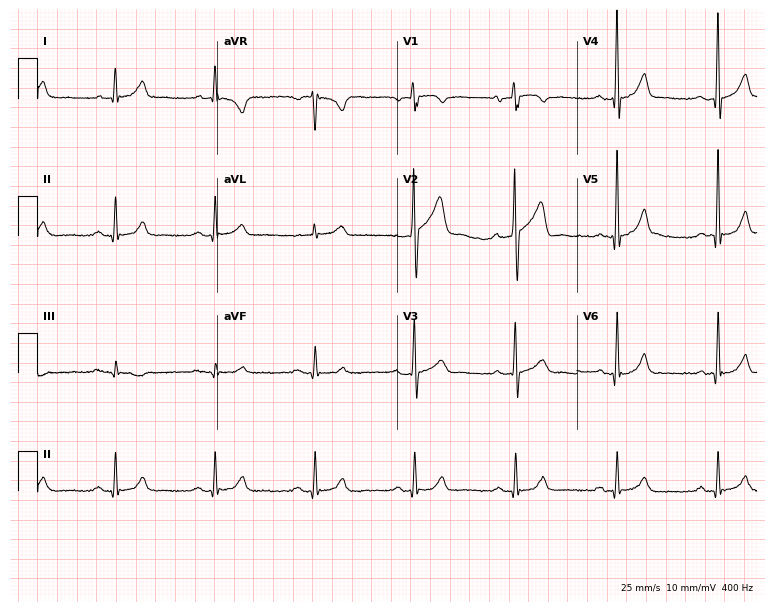
Resting 12-lead electrocardiogram (7.3-second recording at 400 Hz). Patient: a male, 60 years old. Read as a normal ECG.